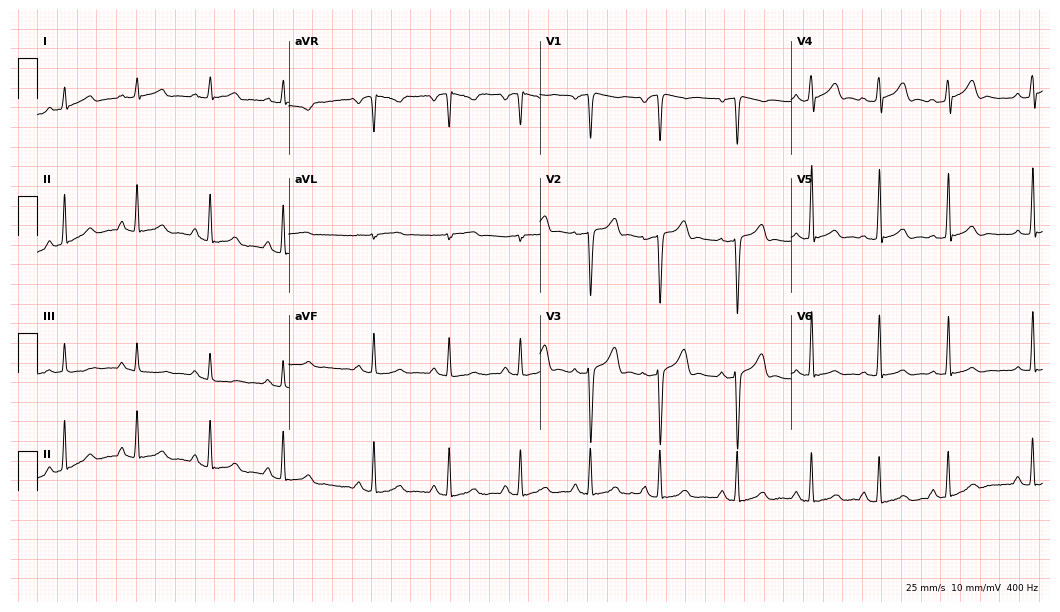
ECG (10.2-second recording at 400 Hz) — a female patient, 41 years old. Labelled as a normal ECG.